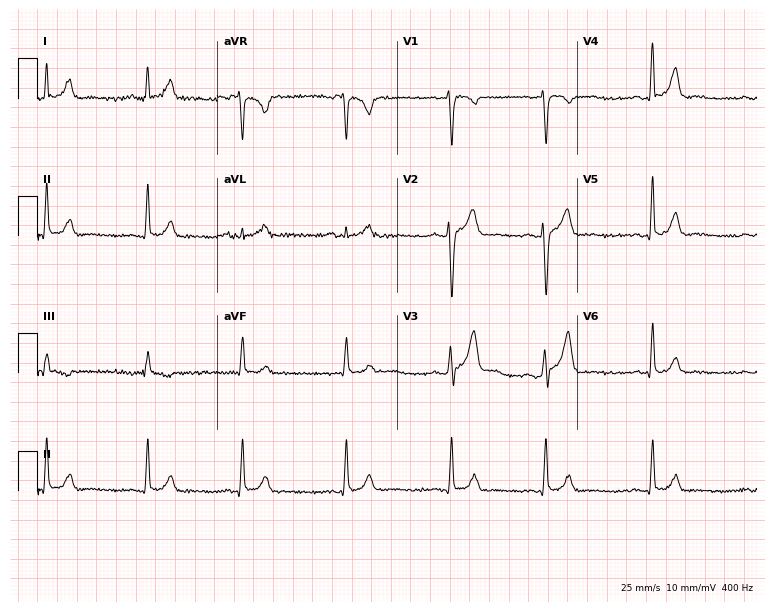
12-lead ECG (7.3-second recording at 400 Hz) from a man, 23 years old. Screened for six findings — first-degree AV block, right bundle branch block, left bundle branch block, sinus bradycardia, atrial fibrillation, sinus tachycardia — none is recorded.